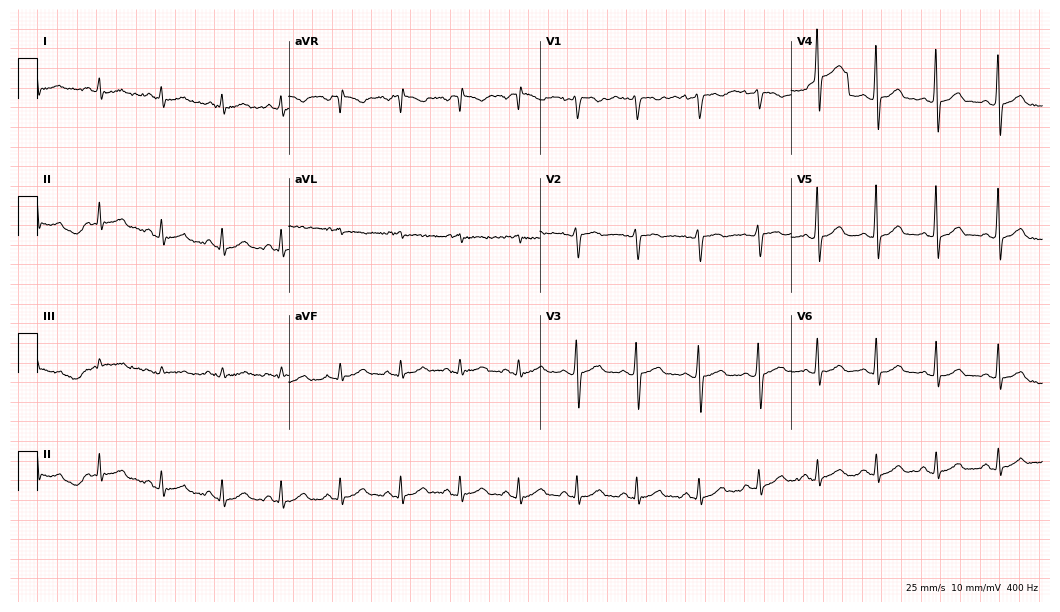
Resting 12-lead electrocardiogram. Patient: a female, 53 years old. None of these six findings is recorded: first-degree AV block, right bundle branch block, left bundle branch block, sinus bradycardia, atrial fibrillation, sinus tachycardia. Findings outside these six are not listed.